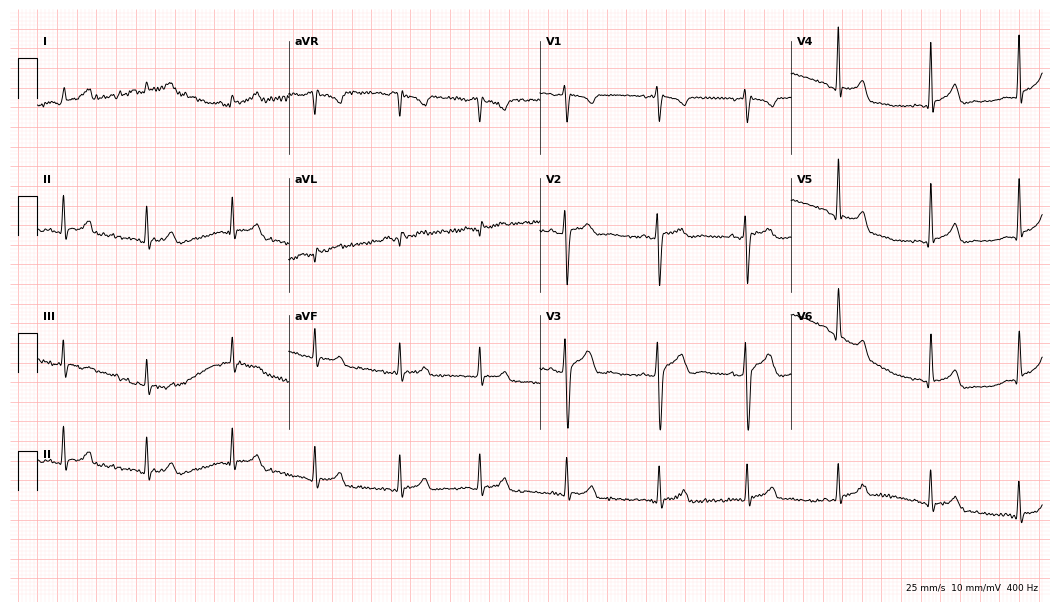
Standard 12-lead ECG recorded from a male, 25 years old. None of these six findings is recorded: first-degree AV block, right bundle branch block (RBBB), left bundle branch block (LBBB), sinus bradycardia, atrial fibrillation (AF), sinus tachycardia.